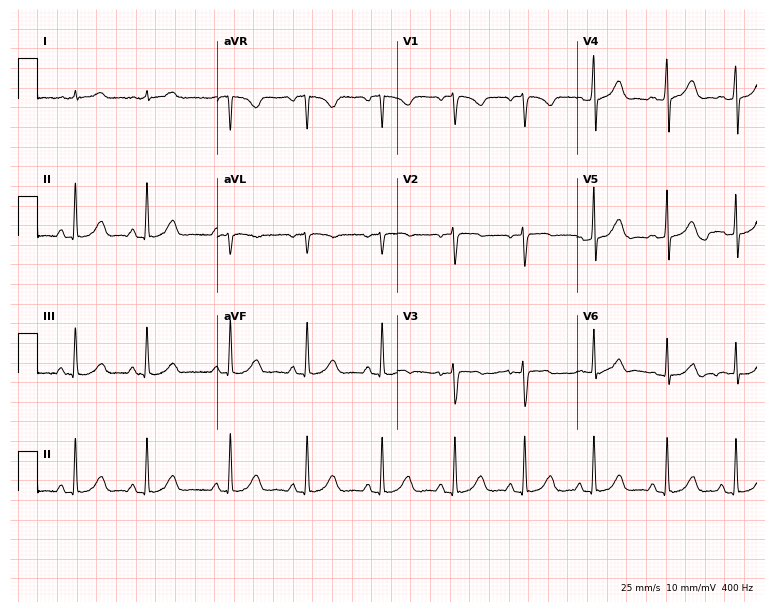
Electrocardiogram (7.3-second recording at 400 Hz), a 48-year-old woman. Overall reading on record: normal ECG.